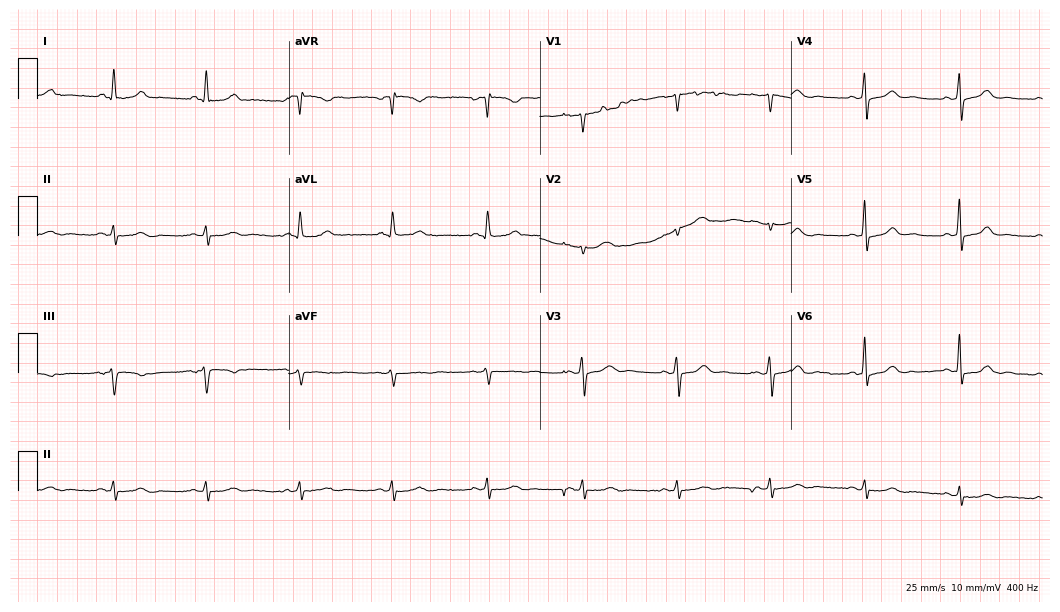
12-lead ECG (10.2-second recording at 400 Hz) from a 52-year-old female. Labelled as a normal ECG.